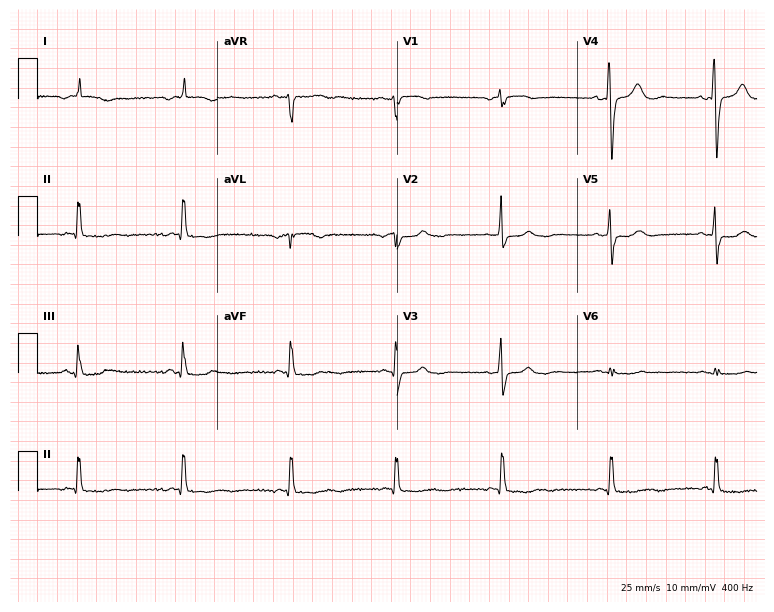
Standard 12-lead ECG recorded from a 76-year-old female (7.3-second recording at 400 Hz). None of these six findings is recorded: first-degree AV block, right bundle branch block, left bundle branch block, sinus bradycardia, atrial fibrillation, sinus tachycardia.